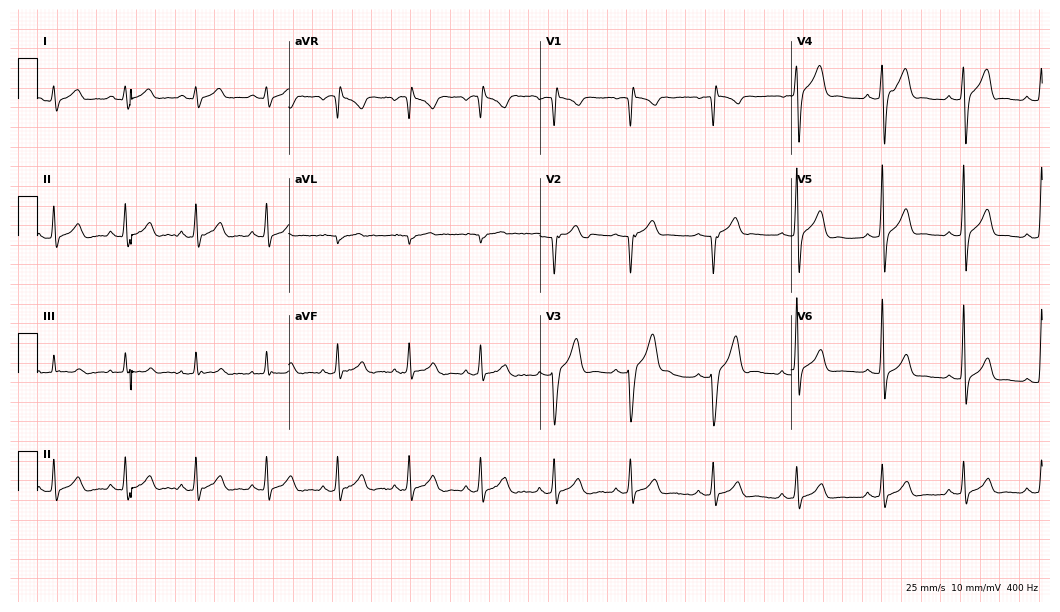
Standard 12-lead ECG recorded from a 26-year-old male patient. None of these six findings is recorded: first-degree AV block, right bundle branch block (RBBB), left bundle branch block (LBBB), sinus bradycardia, atrial fibrillation (AF), sinus tachycardia. Other findings, if any, are not listed.